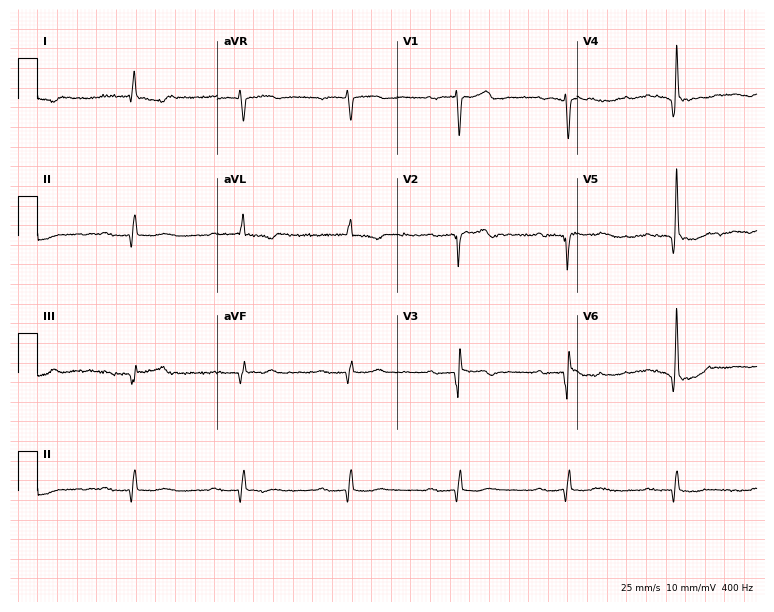
12-lead ECG from a man, 72 years old (7.3-second recording at 400 Hz). No first-degree AV block, right bundle branch block, left bundle branch block, sinus bradycardia, atrial fibrillation or sinus tachycardia recorded for this tracing.